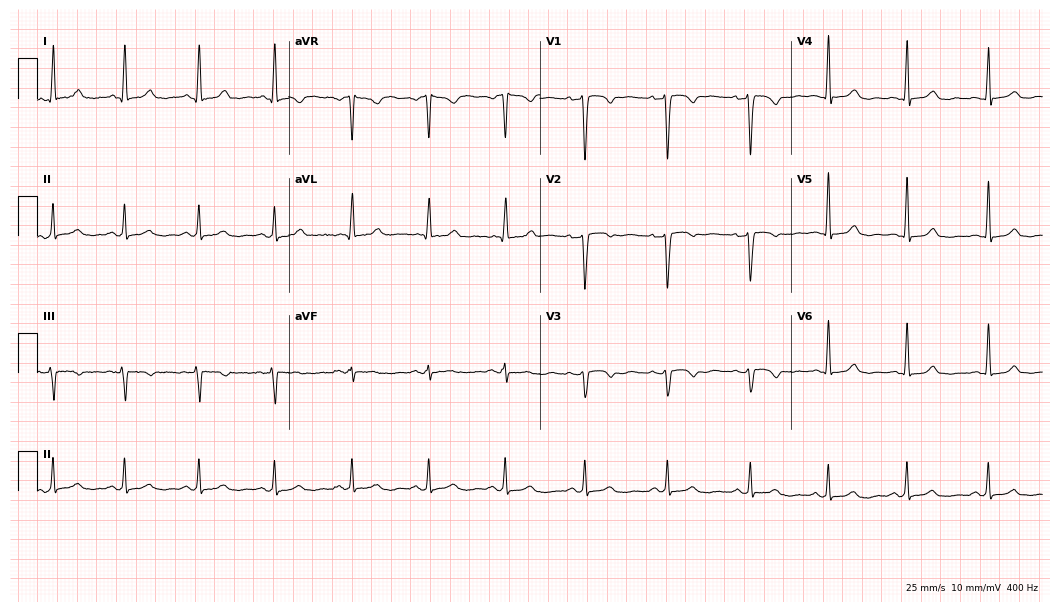
Resting 12-lead electrocardiogram (10.2-second recording at 400 Hz). Patient: a 39-year-old female. None of these six findings is recorded: first-degree AV block, right bundle branch block (RBBB), left bundle branch block (LBBB), sinus bradycardia, atrial fibrillation (AF), sinus tachycardia. Only these six findings were labelled.